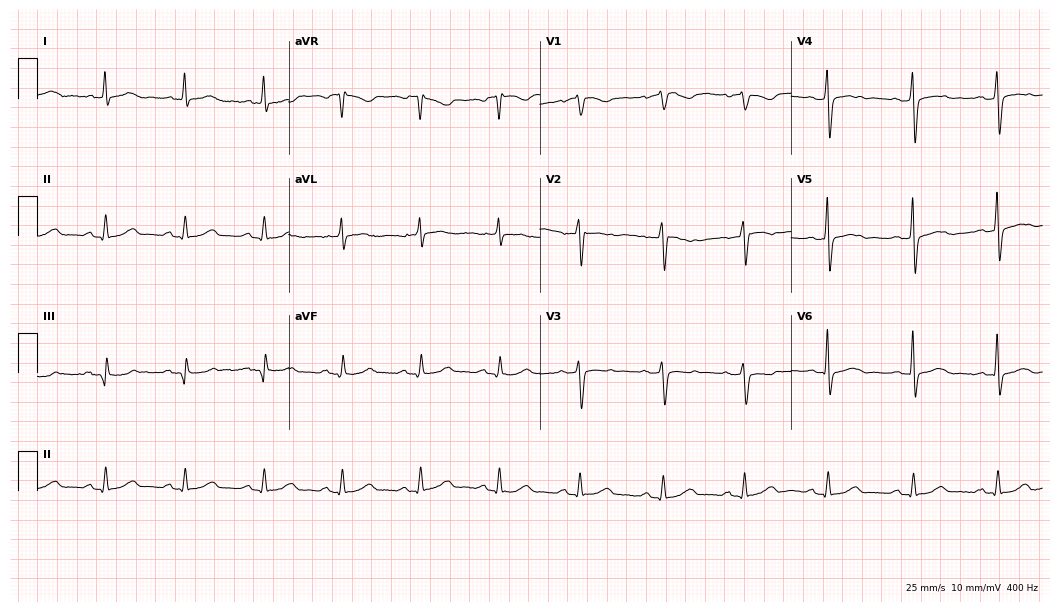
Standard 12-lead ECG recorded from a 71-year-old man (10.2-second recording at 400 Hz). Read as a normal ECG.